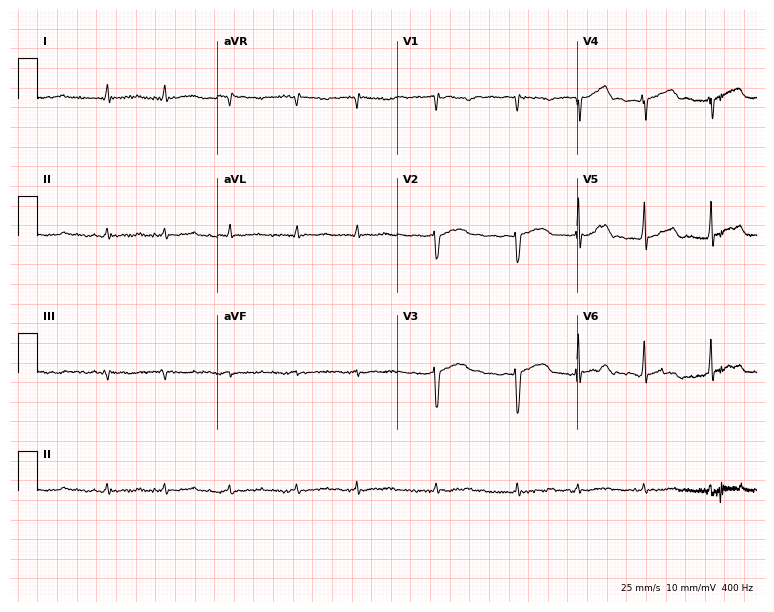
Electrocardiogram (7.3-second recording at 400 Hz), a 76-year-old male. Of the six screened findings (first-degree AV block, right bundle branch block, left bundle branch block, sinus bradycardia, atrial fibrillation, sinus tachycardia), none is recorded. Findings outside these six are not listed.